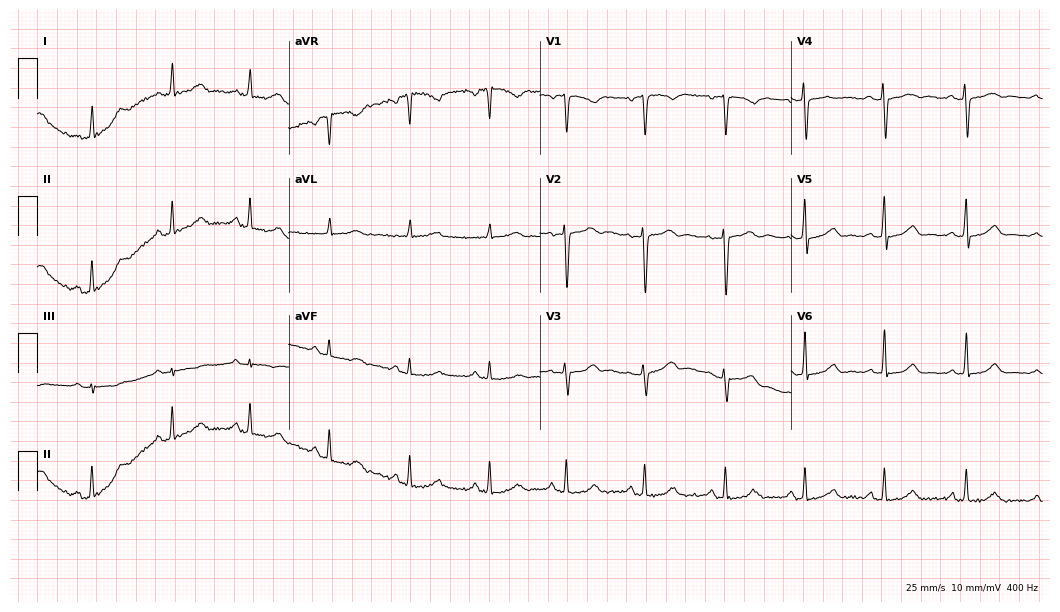
Standard 12-lead ECG recorded from a 45-year-old female patient (10.2-second recording at 400 Hz). None of these six findings is recorded: first-degree AV block, right bundle branch block, left bundle branch block, sinus bradycardia, atrial fibrillation, sinus tachycardia. Only these six findings were labelled.